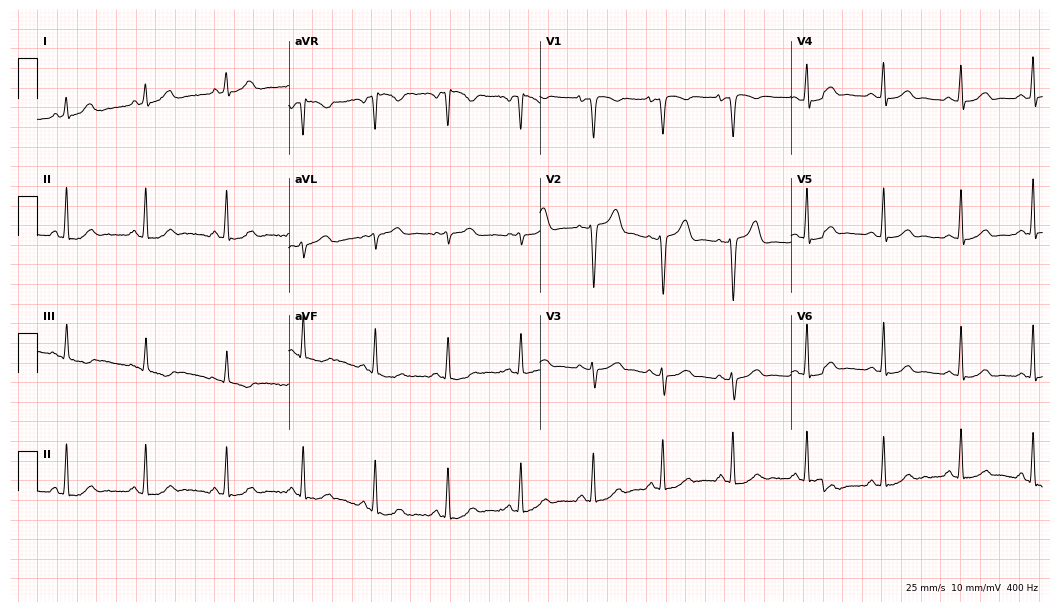
Resting 12-lead electrocardiogram. Patient: a female, 32 years old. Read as a normal ECG.